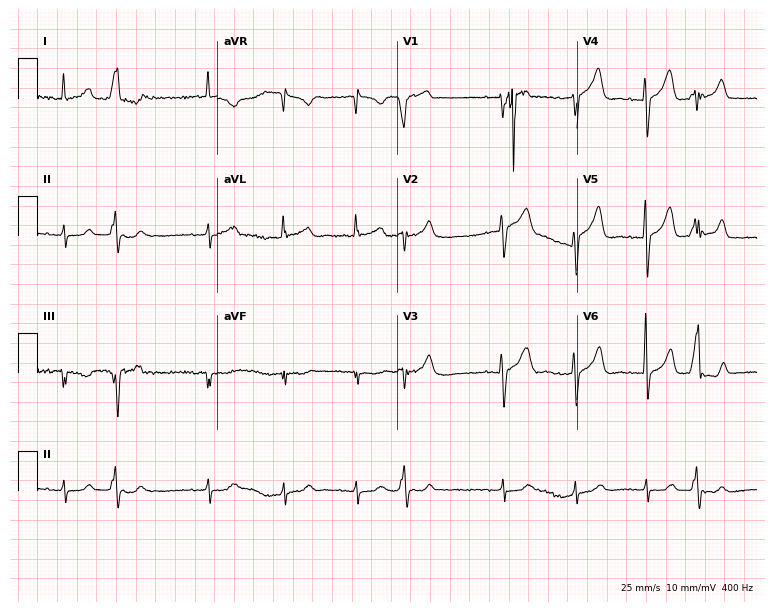
ECG (7.3-second recording at 400 Hz) — an 82-year-old male patient. Screened for six findings — first-degree AV block, right bundle branch block, left bundle branch block, sinus bradycardia, atrial fibrillation, sinus tachycardia — none is recorded. Only these six findings were labelled.